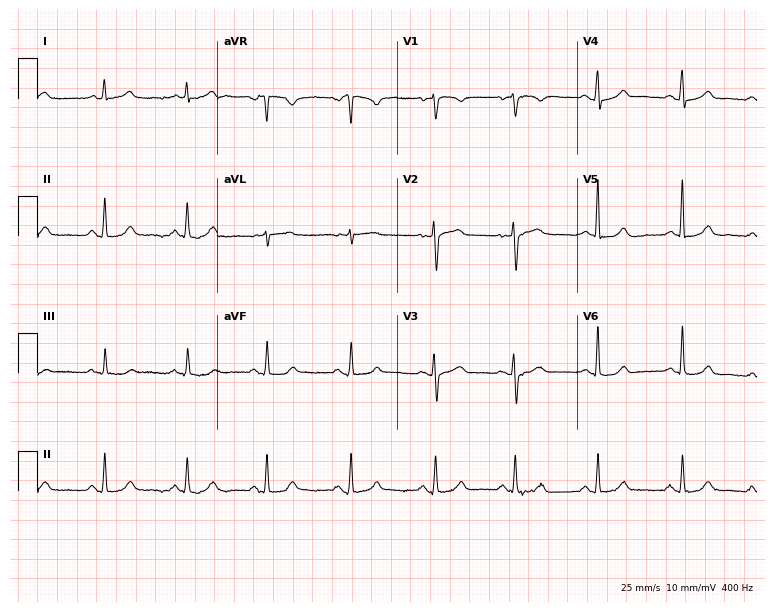
ECG — a female patient, 53 years old. Labelled as a normal ECG.